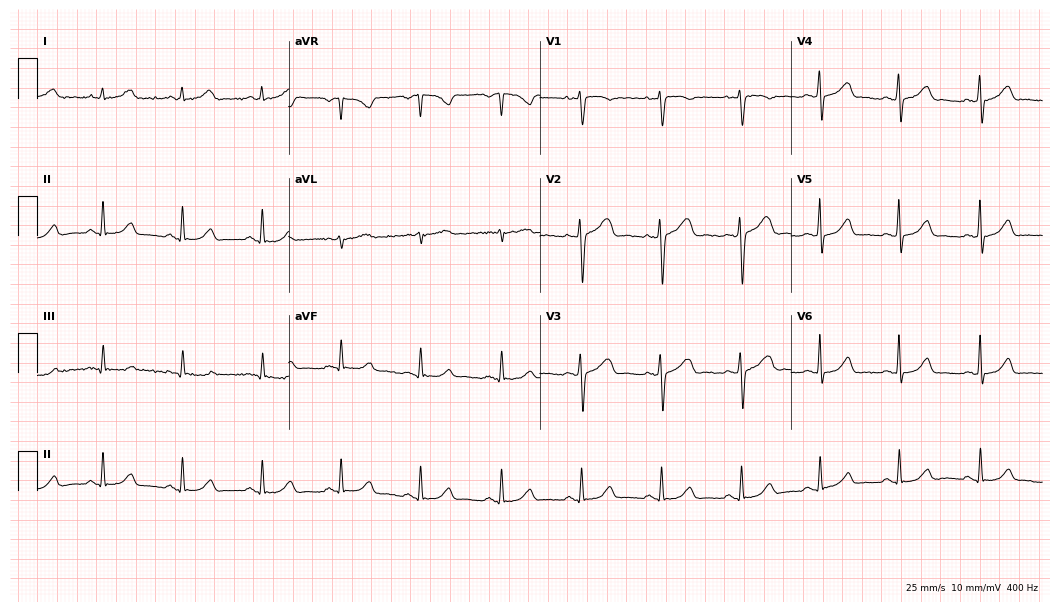
Resting 12-lead electrocardiogram. Patient: a 39-year-old female. Read as a normal ECG.